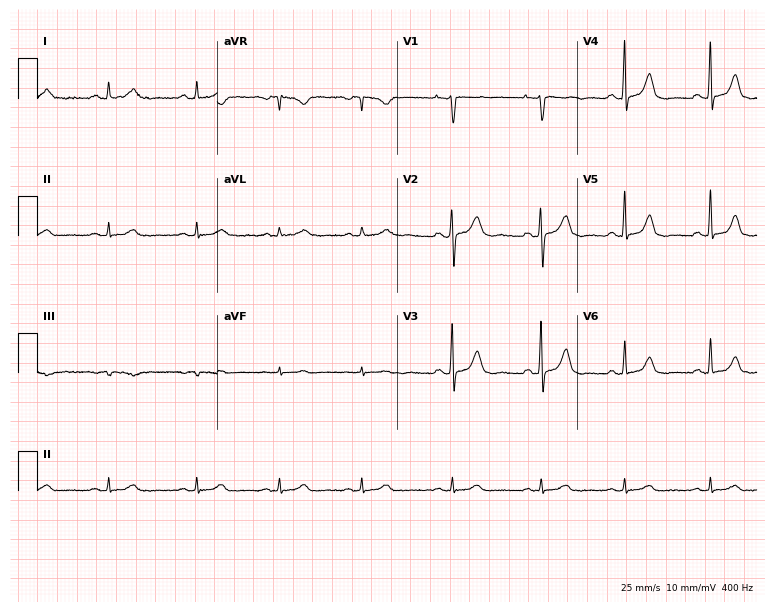
Resting 12-lead electrocardiogram (7.3-second recording at 400 Hz). Patient: a 46-year-old female. Read as a normal ECG.